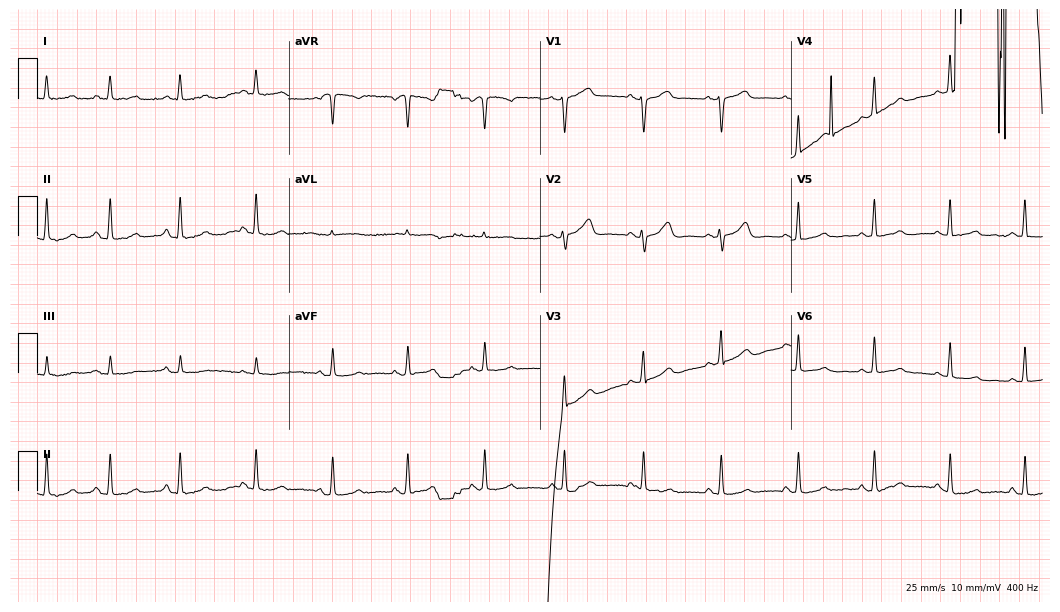
Standard 12-lead ECG recorded from a female patient, 49 years old. None of these six findings is recorded: first-degree AV block, right bundle branch block, left bundle branch block, sinus bradycardia, atrial fibrillation, sinus tachycardia. Only these six findings were labelled.